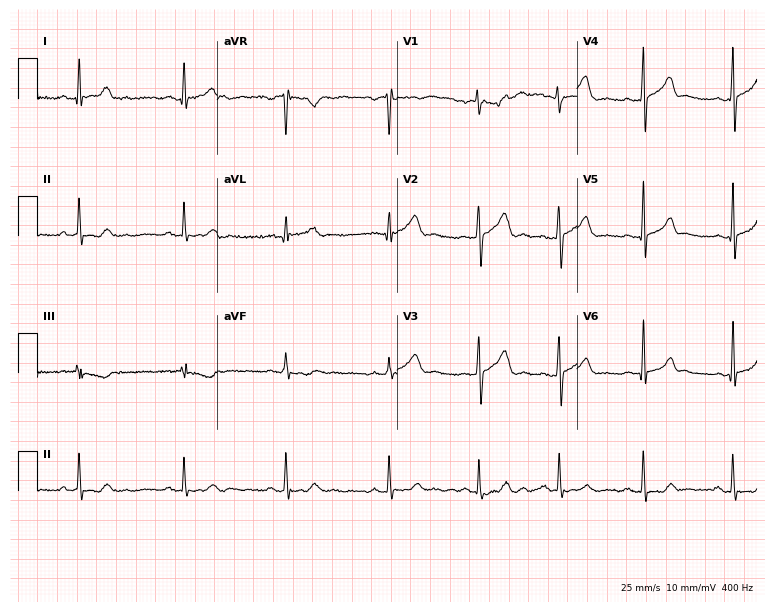
12-lead ECG from a 37-year-old woman. No first-degree AV block, right bundle branch block, left bundle branch block, sinus bradycardia, atrial fibrillation or sinus tachycardia recorded for this tracing.